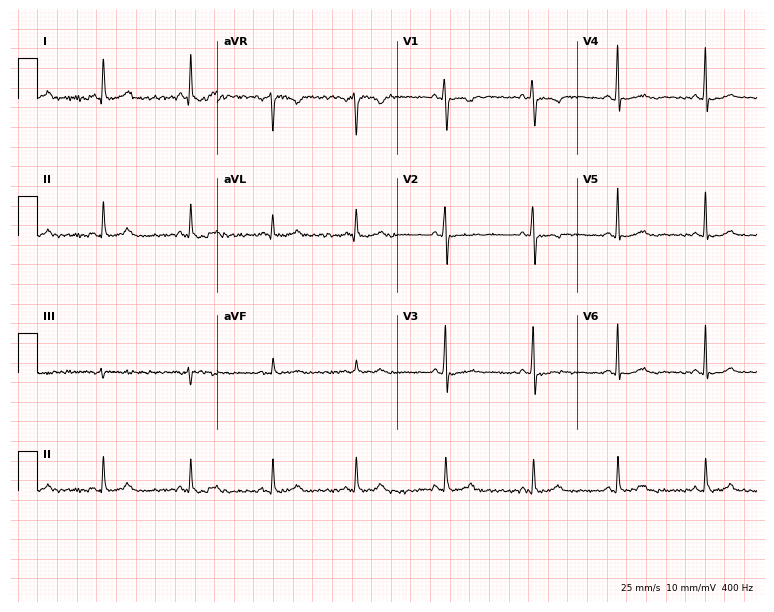
ECG — a female patient, 49 years old. Screened for six findings — first-degree AV block, right bundle branch block, left bundle branch block, sinus bradycardia, atrial fibrillation, sinus tachycardia — none is recorded.